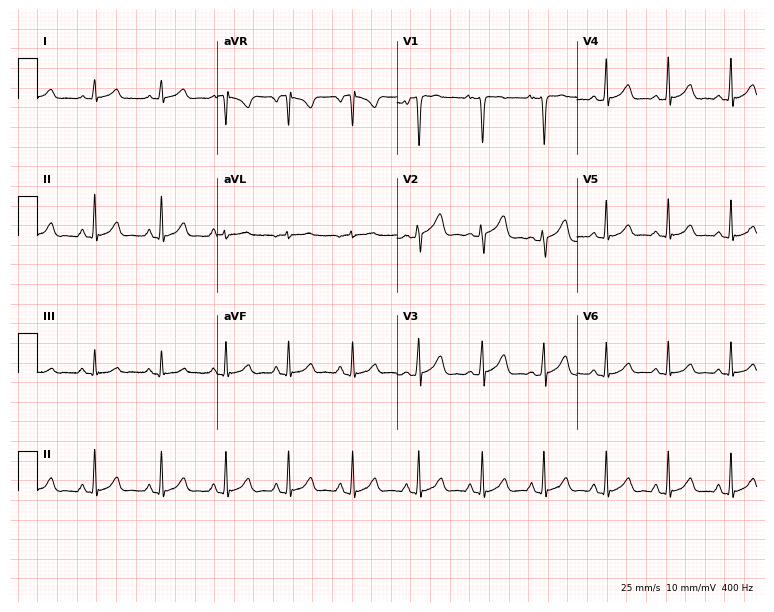
Electrocardiogram (7.3-second recording at 400 Hz), a female patient, 28 years old. Overall reading on record: normal ECG.